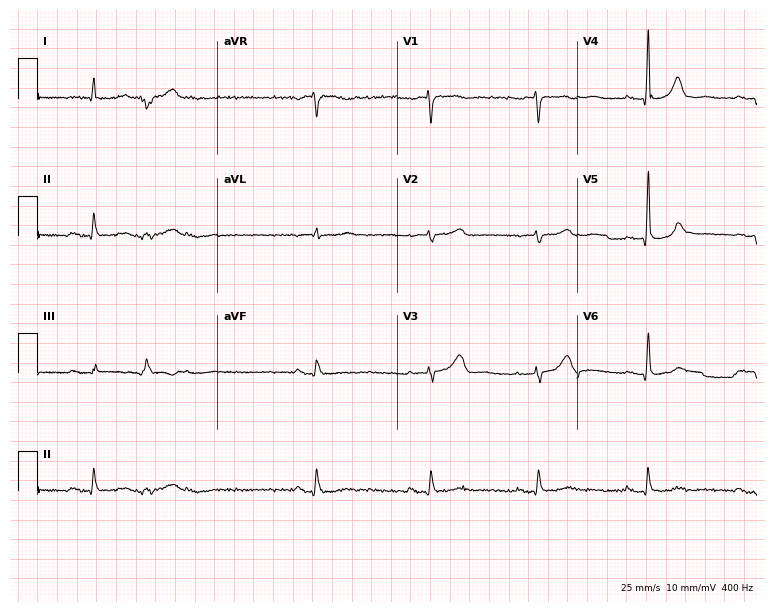
Electrocardiogram, a male, 72 years old. Interpretation includes first-degree AV block.